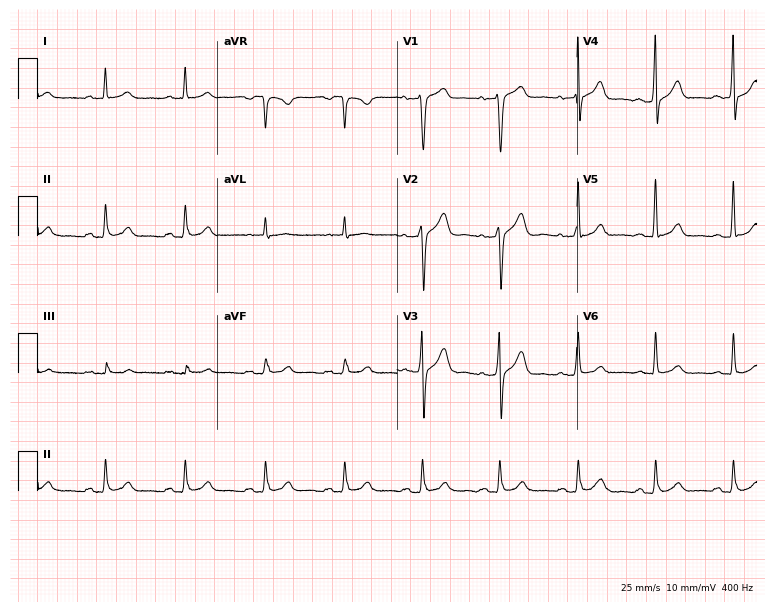
12-lead ECG from a man, 56 years old (7.3-second recording at 400 Hz). Recorded interpretation: within normal limits.